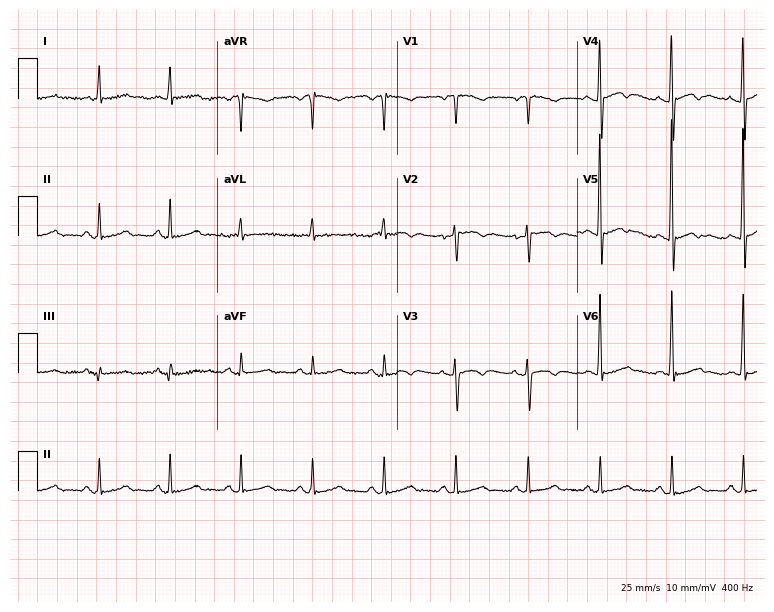
Resting 12-lead electrocardiogram (7.3-second recording at 400 Hz). Patient: a female, 65 years old. None of these six findings is recorded: first-degree AV block, right bundle branch block (RBBB), left bundle branch block (LBBB), sinus bradycardia, atrial fibrillation (AF), sinus tachycardia. Findings outside these six are not listed.